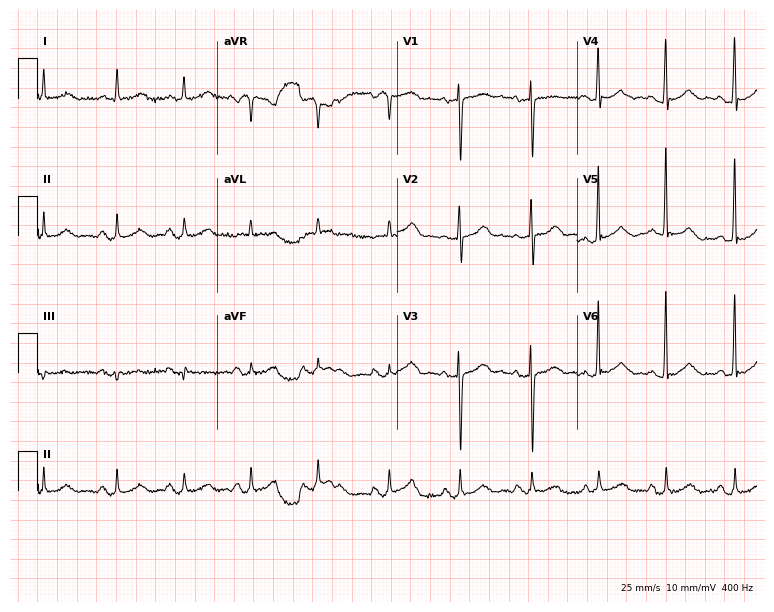
Standard 12-lead ECG recorded from a woman, 72 years old. Read as a normal ECG.